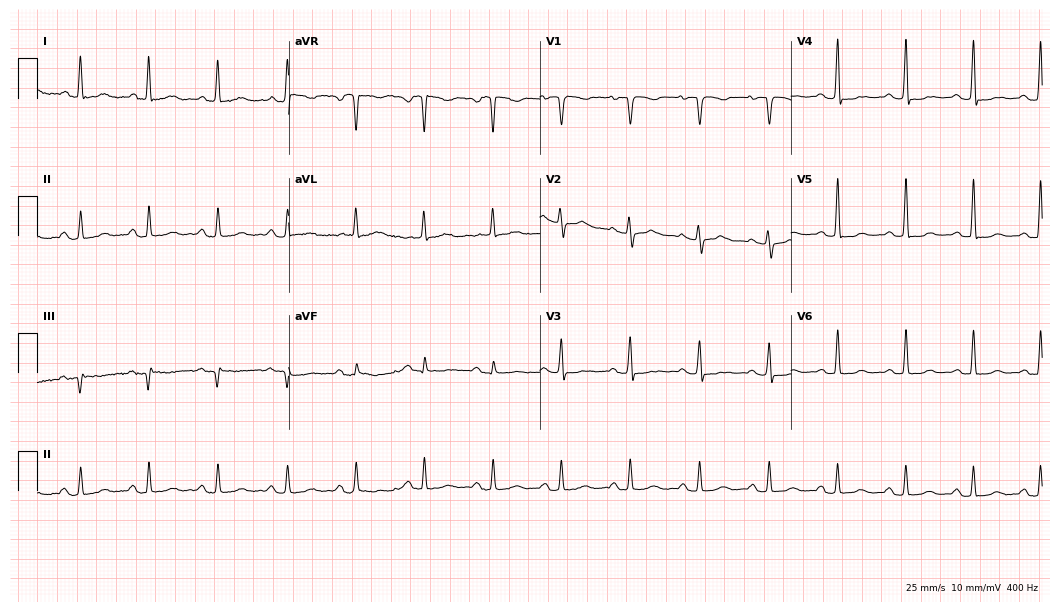
ECG (10.2-second recording at 400 Hz) — a 60-year-old female patient. Screened for six findings — first-degree AV block, right bundle branch block (RBBB), left bundle branch block (LBBB), sinus bradycardia, atrial fibrillation (AF), sinus tachycardia — none is recorded.